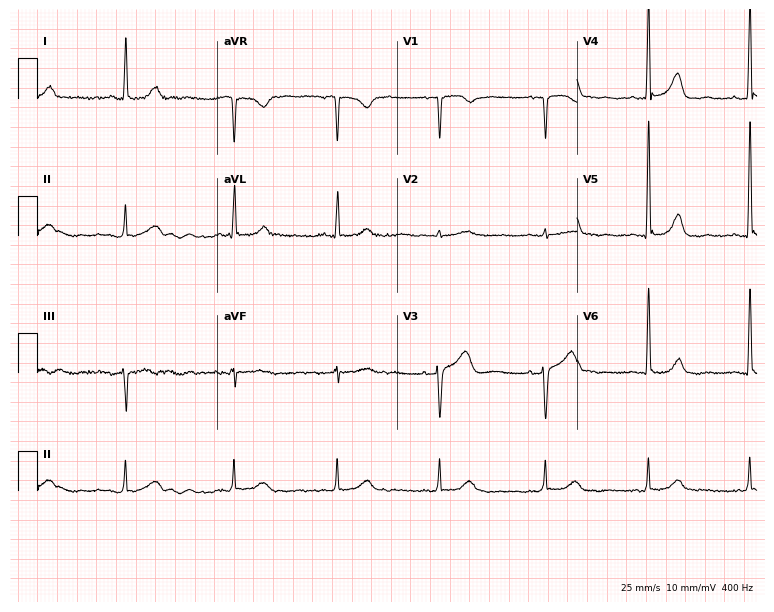
ECG (7.3-second recording at 400 Hz) — a 69-year-old female. Screened for six findings — first-degree AV block, right bundle branch block, left bundle branch block, sinus bradycardia, atrial fibrillation, sinus tachycardia — none is recorded.